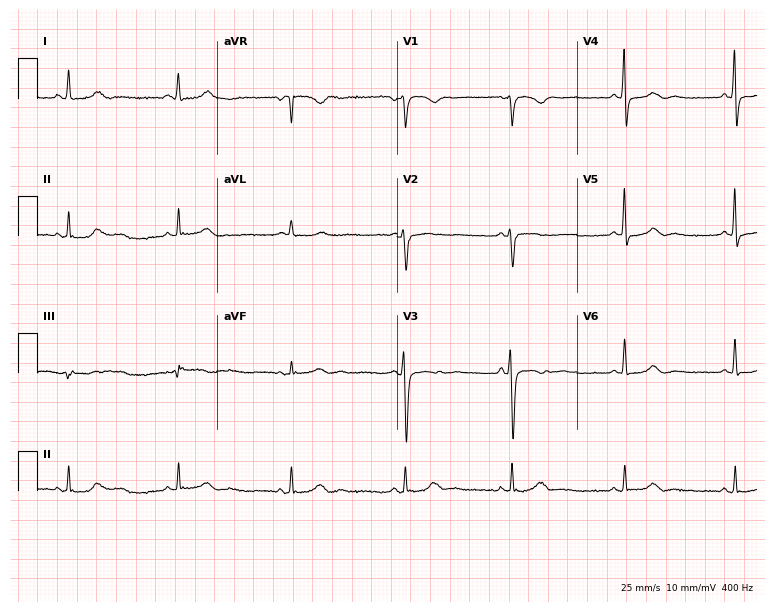
Standard 12-lead ECG recorded from a female, 43 years old. None of these six findings is recorded: first-degree AV block, right bundle branch block, left bundle branch block, sinus bradycardia, atrial fibrillation, sinus tachycardia. Findings outside these six are not listed.